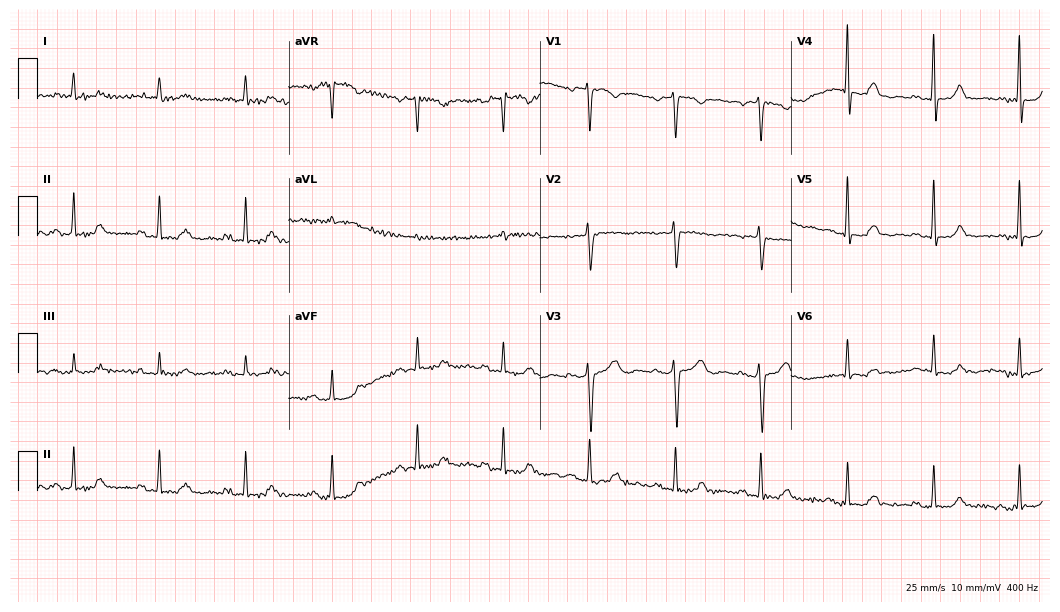
Resting 12-lead electrocardiogram. Patient: a 51-year-old female. None of these six findings is recorded: first-degree AV block, right bundle branch block, left bundle branch block, sinus bradycardia, atrial fibrillation, sinus tachycardia. Findings outside these six are not listed.